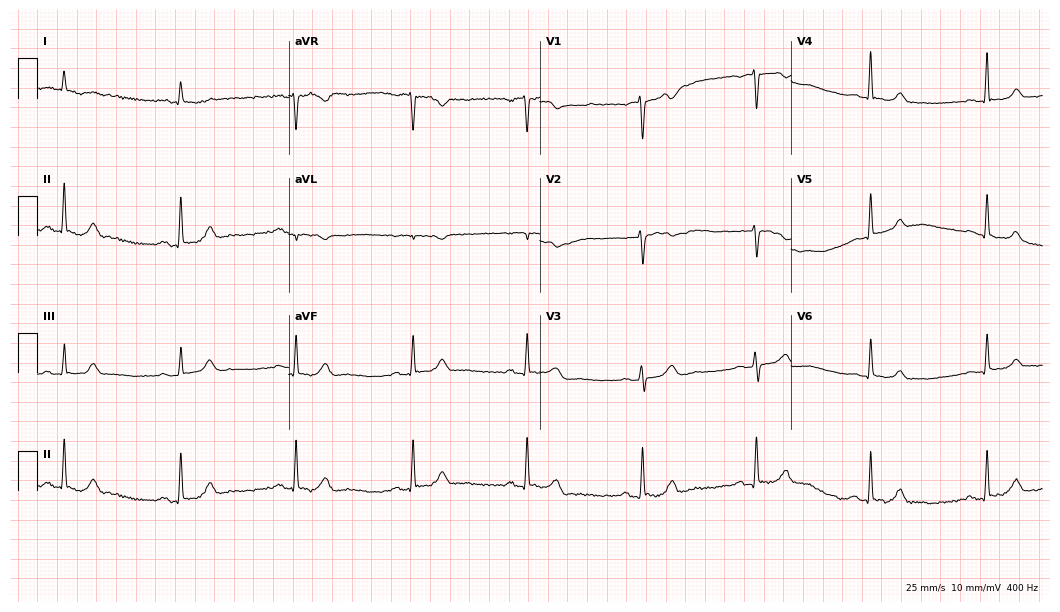
12-lead ECG from a 70-year-old male (10.2-second recording at 400 Hz). Recorded interpretation: within normal limits.